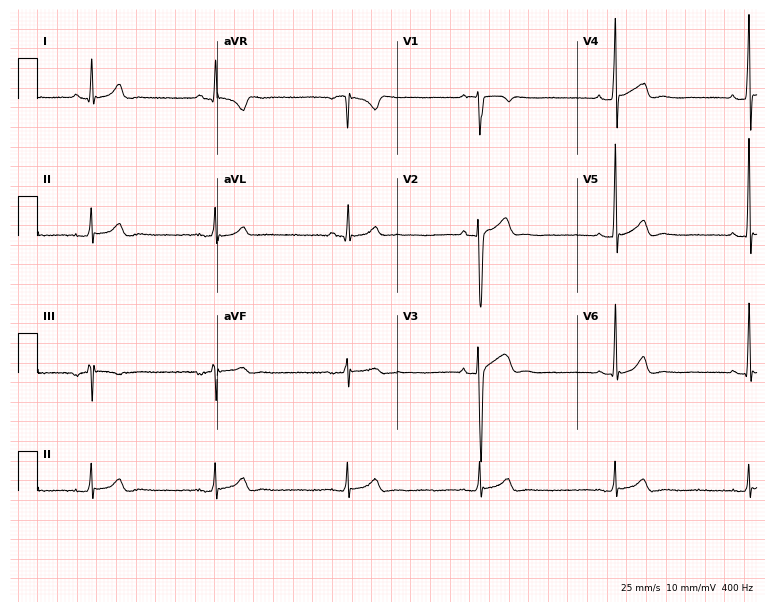
12-lead ECG from a 36-year-old male. Screened for six findings — first-degree AV block, right bundle branch block (RBBB), left bundle branch block (LBBB), sinus bradycardia, atrial fibrillation (AF), sinus tachycardia — none is recorded. Findings outside these six are not listed.